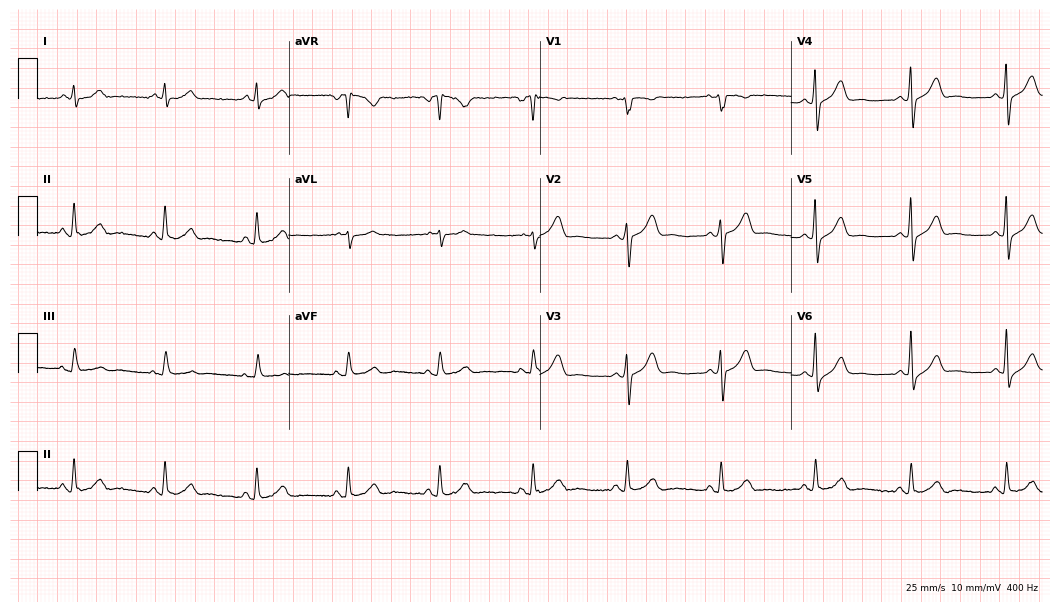
12-lead ECG (10.2-second recording at 400 Hz) from a 55-year-old male patient. Labelled as a normal ECG.